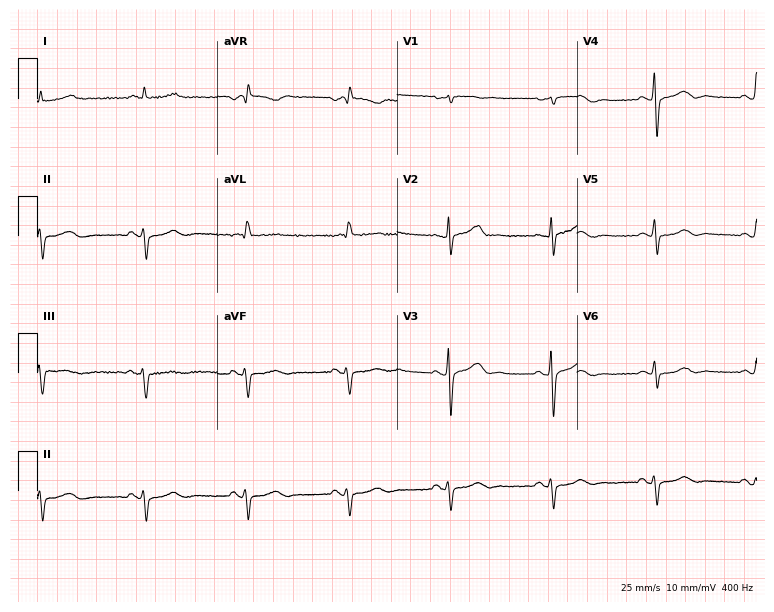
12-lead ECG from a 79-year-old male patient (7.3-second recording at 400 Hz). No first-degree AV block, right bundle branch block, left bundle branch block, sinus bradycardia, atrial fibrillation or sinus tachycardia recorded for this tracing.